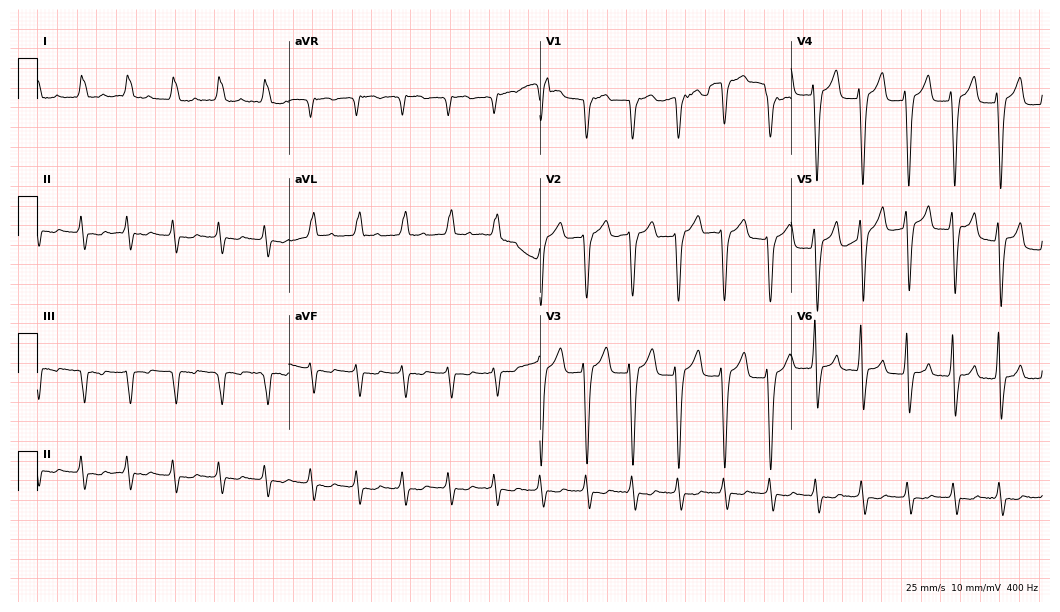
Resting 12-lead electrocardiogram (10.2-second recording at 400 Hz). Patient: a female, 66 years old. None of these six findings is recorded: first-degree AV block, right bundle branch block, left bundle branch block, sinus bradycardia, atrial fibrillation, sinus tachycardia. Only these six findings were labelled.